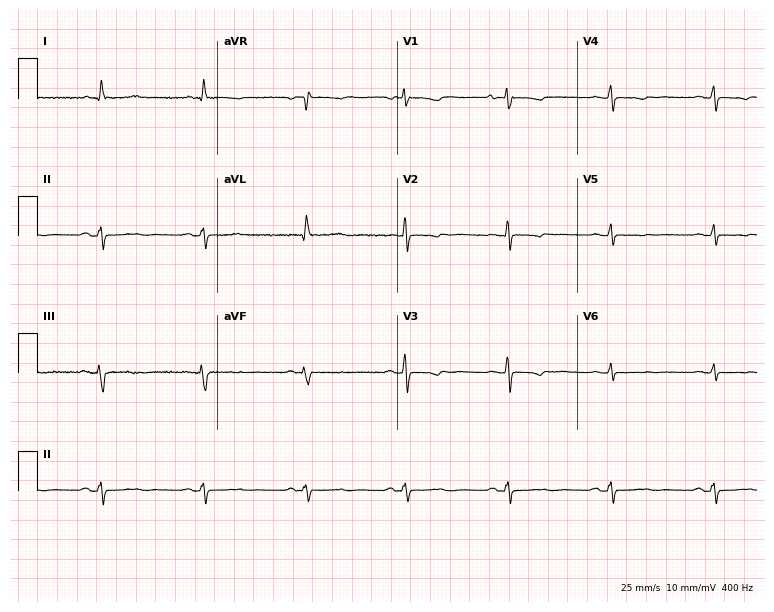
Electrocardiogram (7.3-second recording at 400 Hz), a female, 67 years old. Of the six screened findings (first-degree AV block, right bundle branch block, left bundle branch block, sinus bradycardia, atrial fibrillation, sinus tachycardia), none is recorded. Only these six findings were labelled.